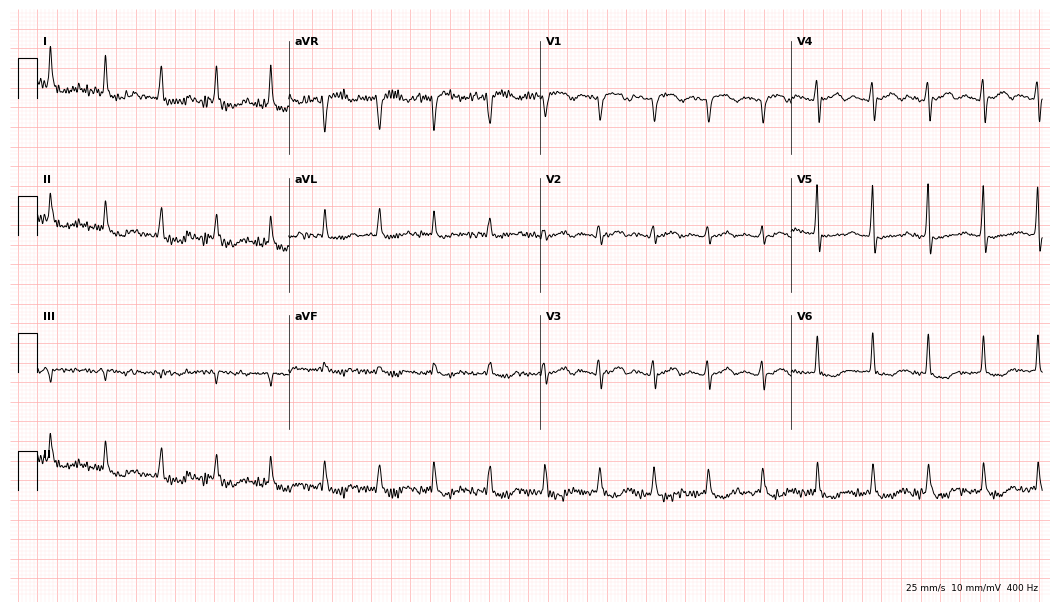
Standard 12-lead ECG recorded from an 80-year-old female (10.2-second recording at 400 Hz). None of these six findings is recorded: first-degree AV block, right bundle branch block, left bundle branch block, sinus bradycardia, atrial fibrillation, sinus tachycardia.